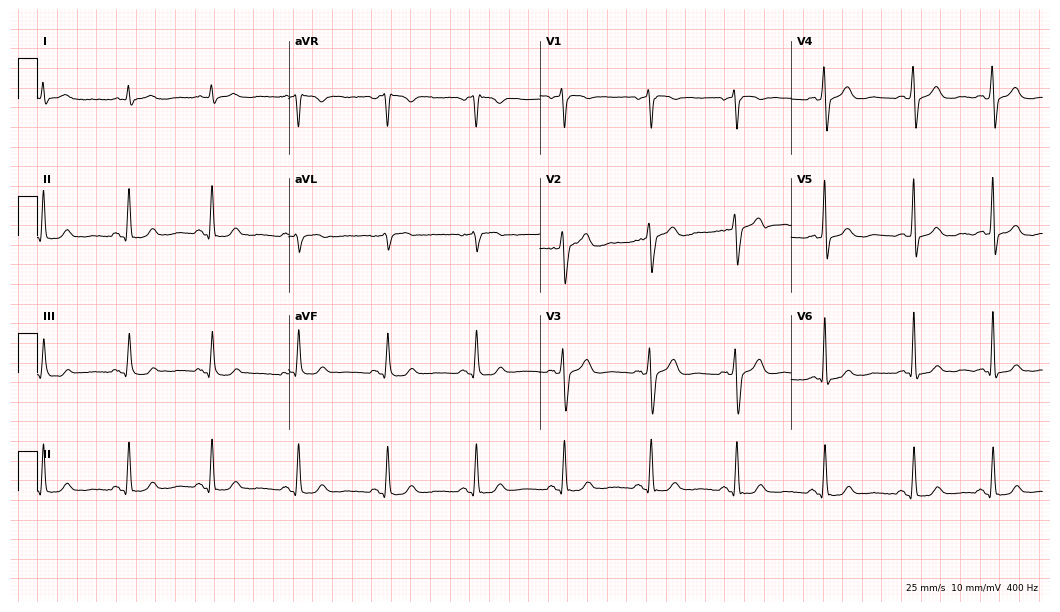
12-lead ECG (10.2-second recording at 400 Hz) from a man, 55 years old. Screened for six findings — first-degree AV block, right bundle branch block (RBBB), left bundle branch block (LBBB), sinus bradycardia, atrial fibrillation (AF), sinus tachycardia — none is recorded. Other findings, if any, are not listed.